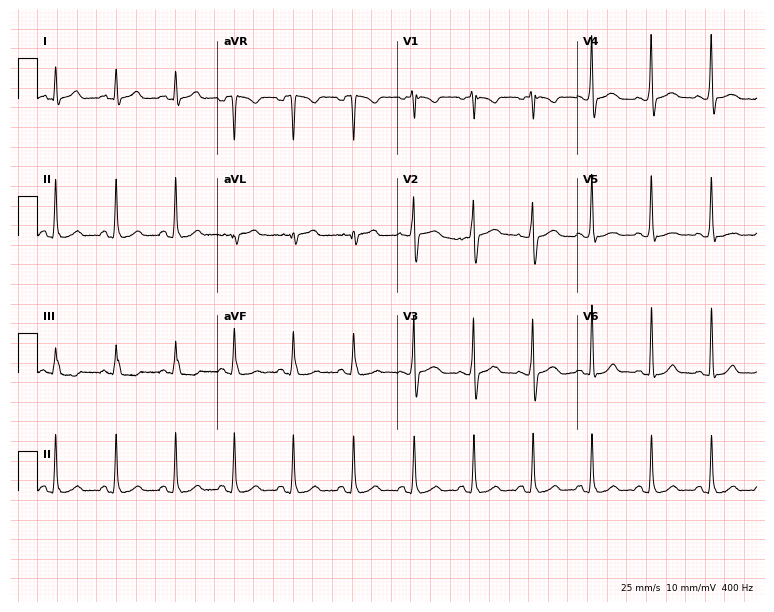
ECG (7.3-second recording at 400 Hz) — a 24-year-old woman. Labelled as a normal ECG.